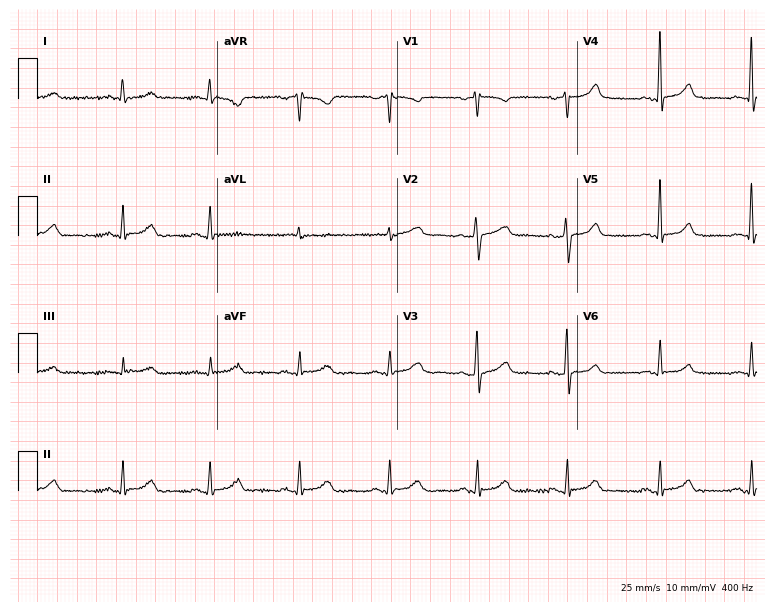
12-lead ECG from a 53-year-old female. Labelled as a normal ECG.